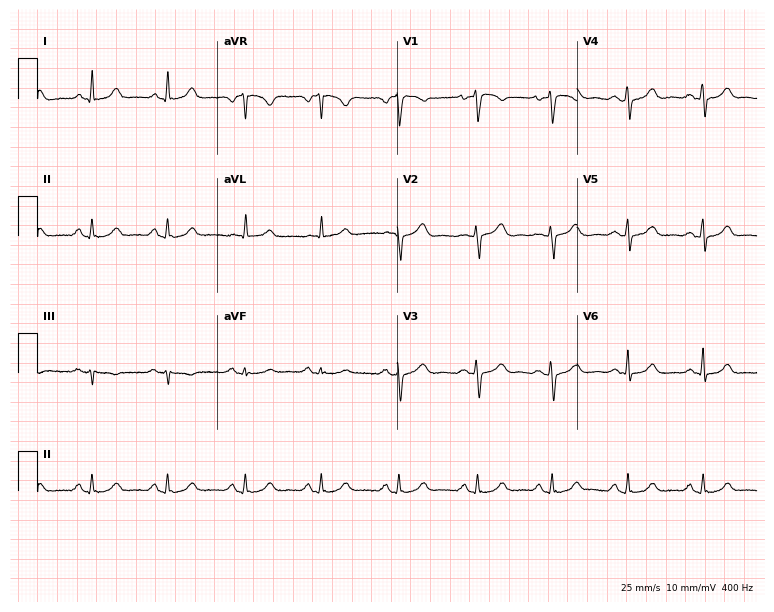
12-lead ECG from a female patient, 57 years old (7.3-second recording at 400 Hz). Recorded interpretation: within normal limits.